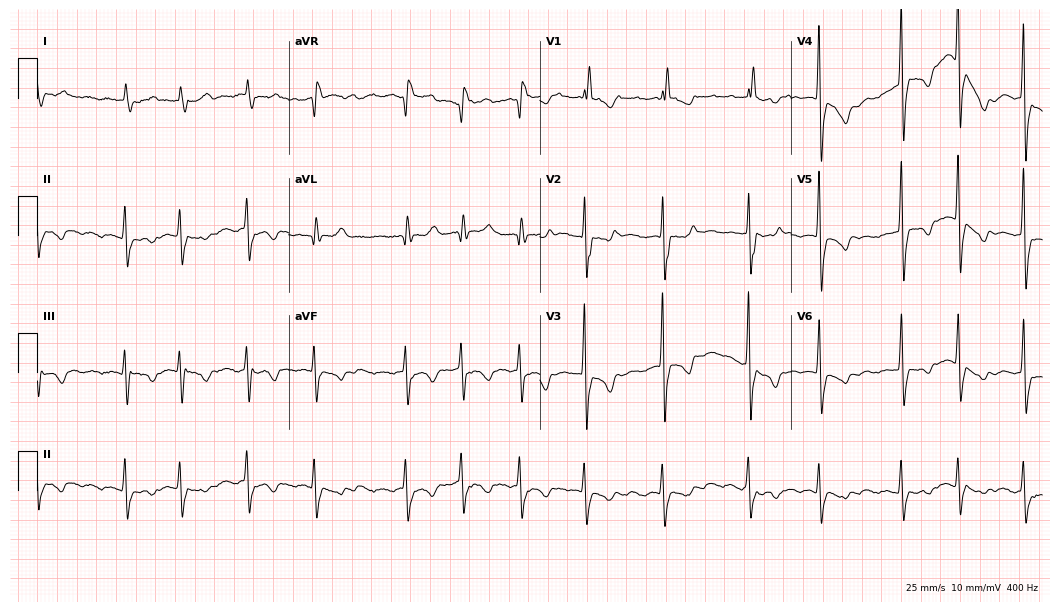
12-lead ECG from a female, 80 years old. Shows atrial fibrillation.